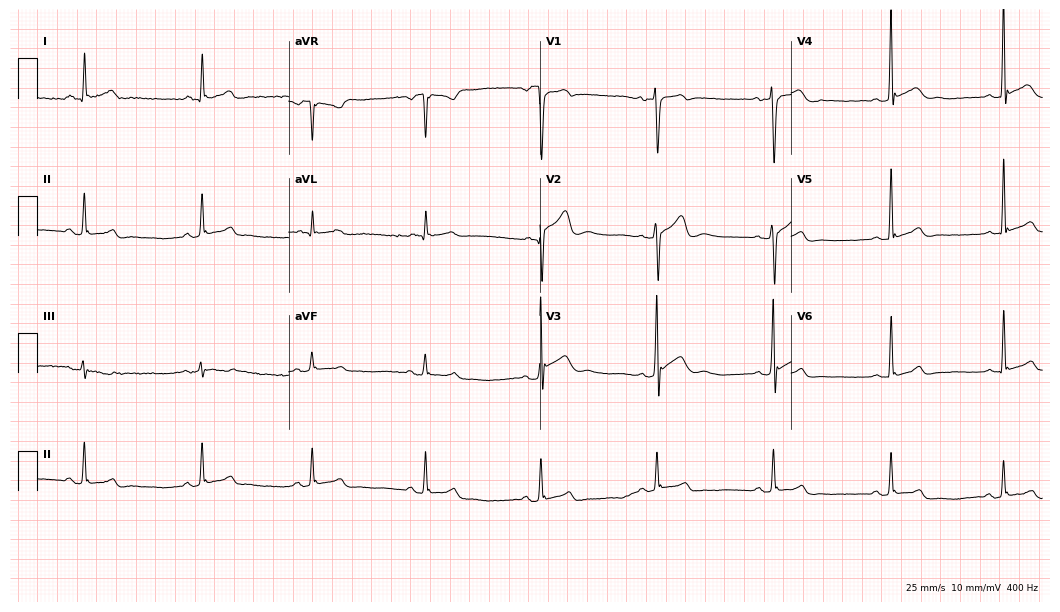
12-lead ECG from a 22-year-old male. Screened for six findings — first-degree AV block, right bundle branch block, left bundle branch block, sinus bradycardia, atrial fibrillation, sinus tachycardia — none is recorded. Other findings, if any, are not listed.